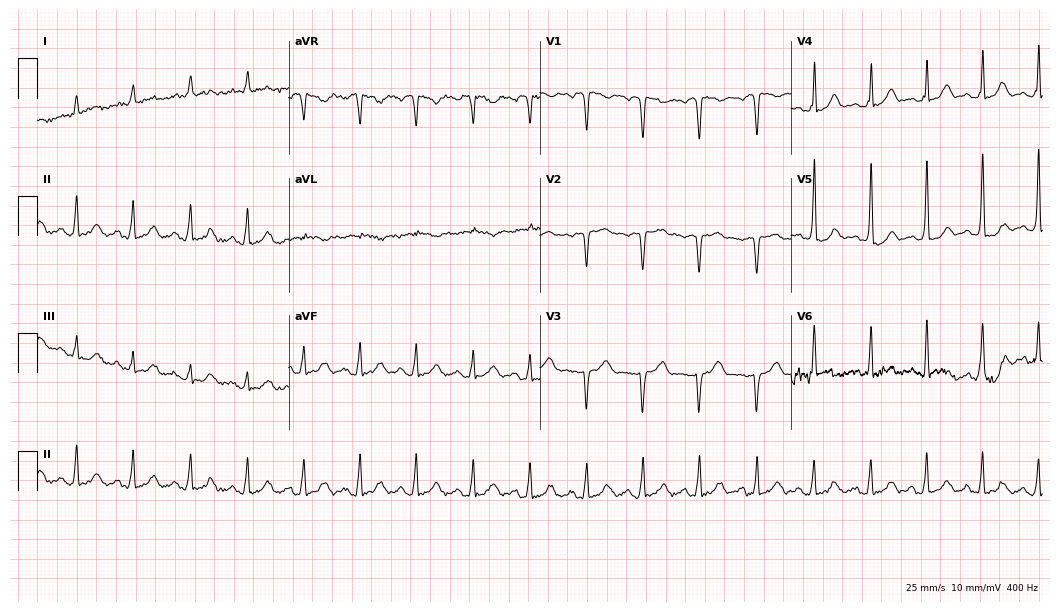
12-lead ECG (10.2-second recording at 400 Hz) from a 55-year-old male. Findings include sinus tachycardia (a sinus rate of 100 beats per minute or more).